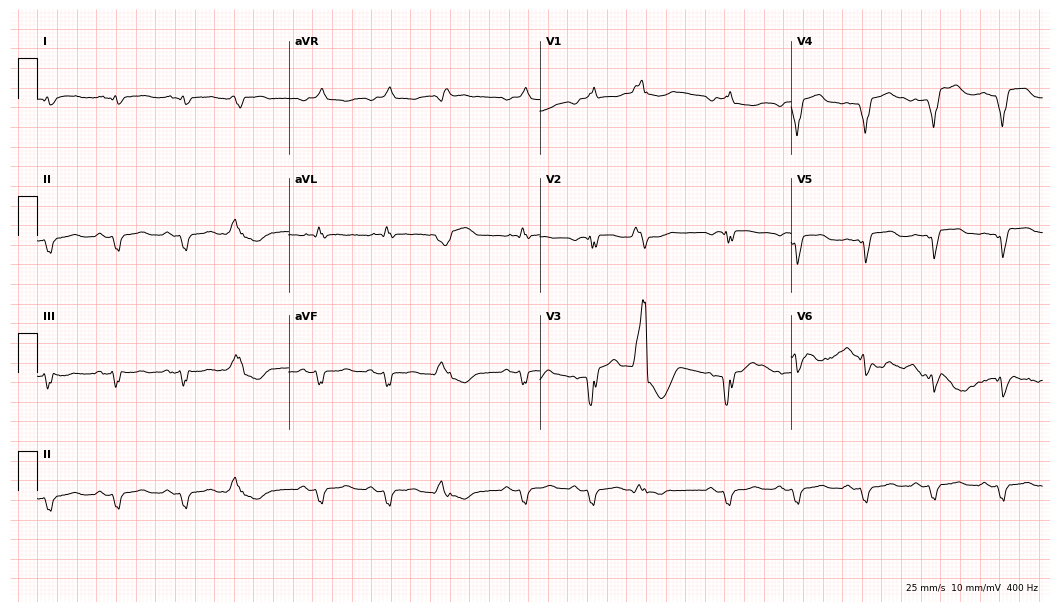
Resting 12-lead electrocardiogram (10.2-second recording at 400 Hz). Patient: a male, 84 years old. The tracing shows right bundle branch block.